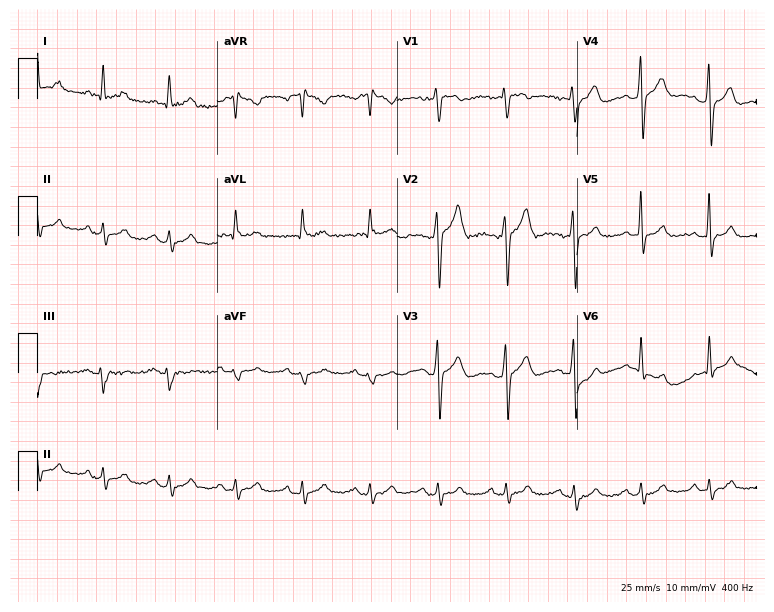
ECG — a male patient, 30 years old. Screened for six findings — first-degree AV block, right bundle branch block, left bundle branch block, sinus bradycardia, atrial fibrillation, sinus tachycardia — none is recorded.